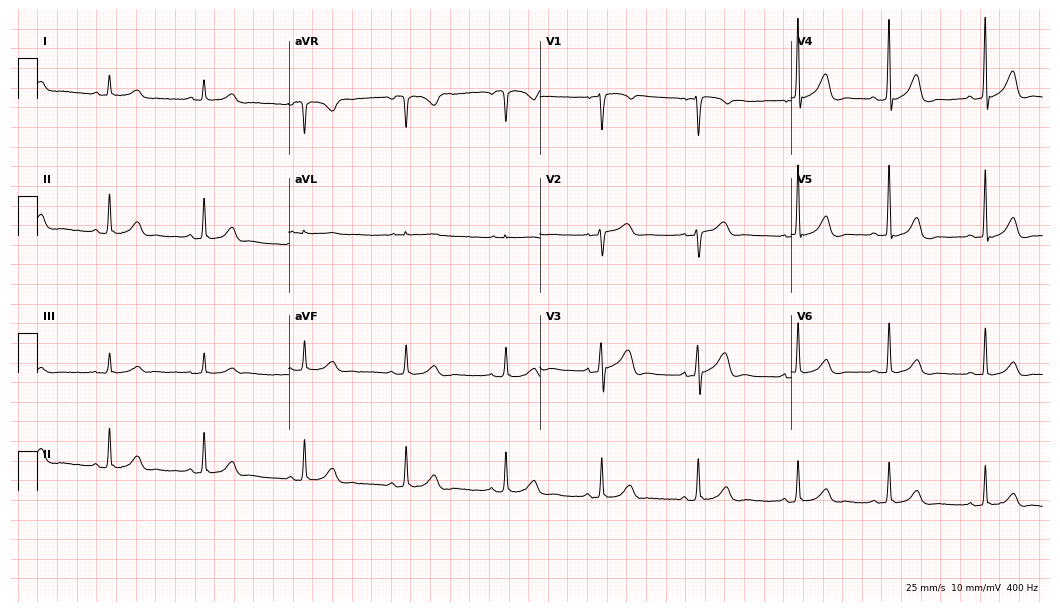
ECG — a male patient, 62 years old. Labelled as a normal ECG.